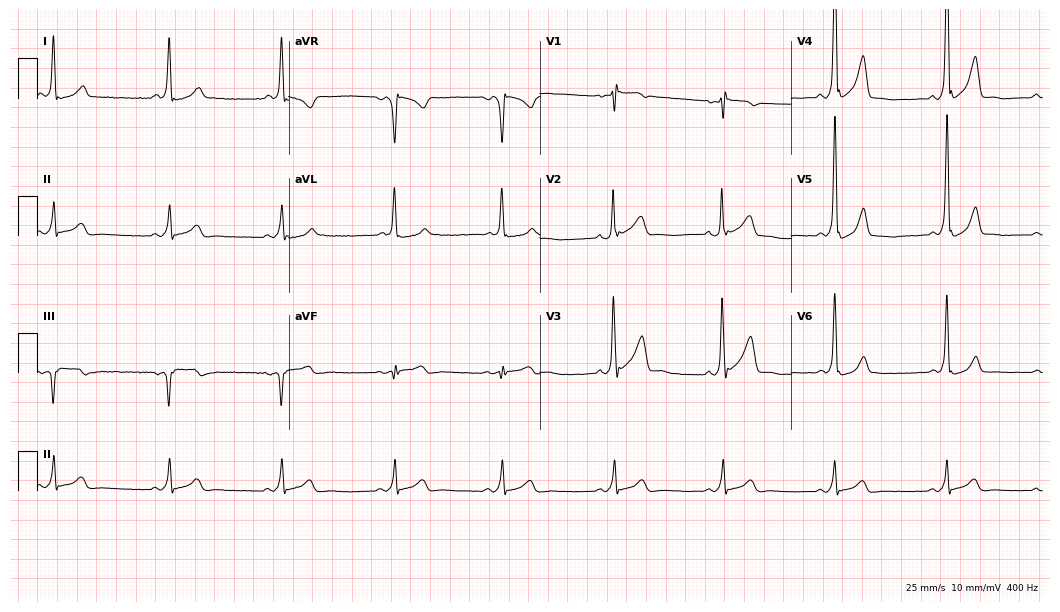
Electrocardiogram (10.2-second recording at 400 Hz), a 35-year-old male patient. Of the six screened findings (first-degree AV block, right bundle branch block (RBBB), left bundle branch block (LBBB), sinus bradycardia, atrial fibrillation (AF), sinus tachycardia), none is recorded.